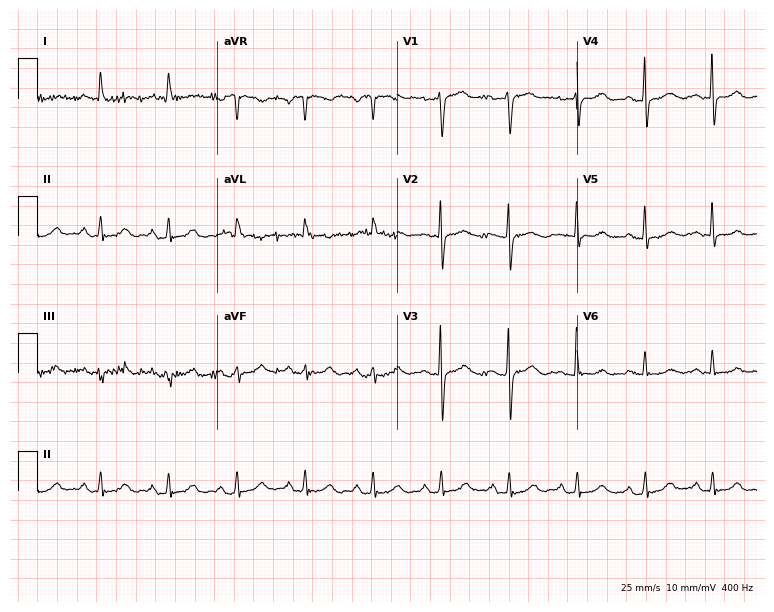
12-lead ECG from a female patient, 62 years old (7.3-second recording at 400 Hz). Recorded interpretation: within normal limits.